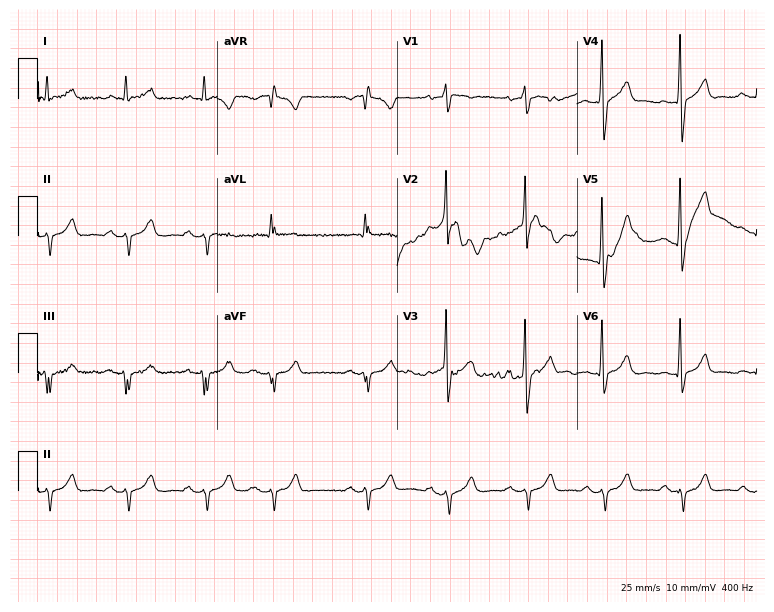
ECG — a 76-year-old male patient. Screened for six findings — first-degree AV block, right bundle branch block, left bundle branch block, sinus bradycardia, atrial fibrillation, sinus tachycardia — none is recorded.